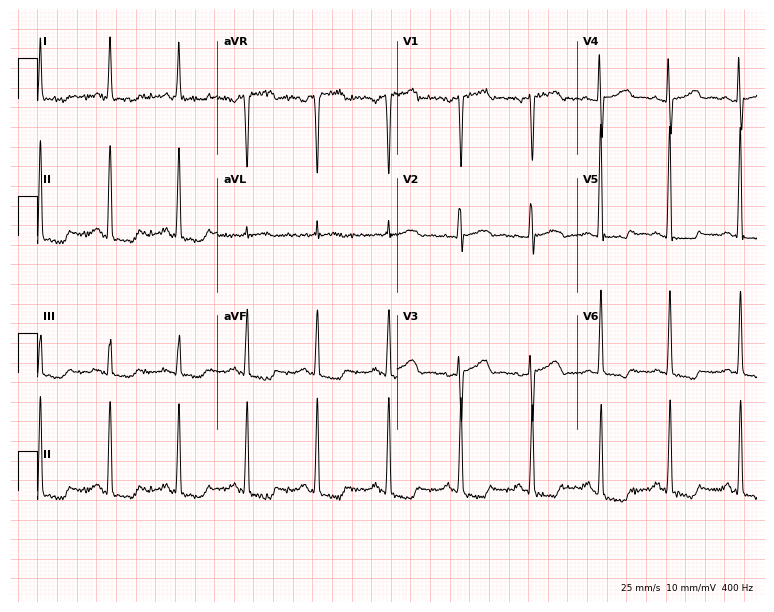
12-lead ECG from a female patient, 59 years old. Screened for six findings — first-degree AV block, right bundle branch block, left bundle branch block, sinus bradycardia, atrial fibrillation, sinus tachycardia — none is recorded. Other findings, if any, are not listed.